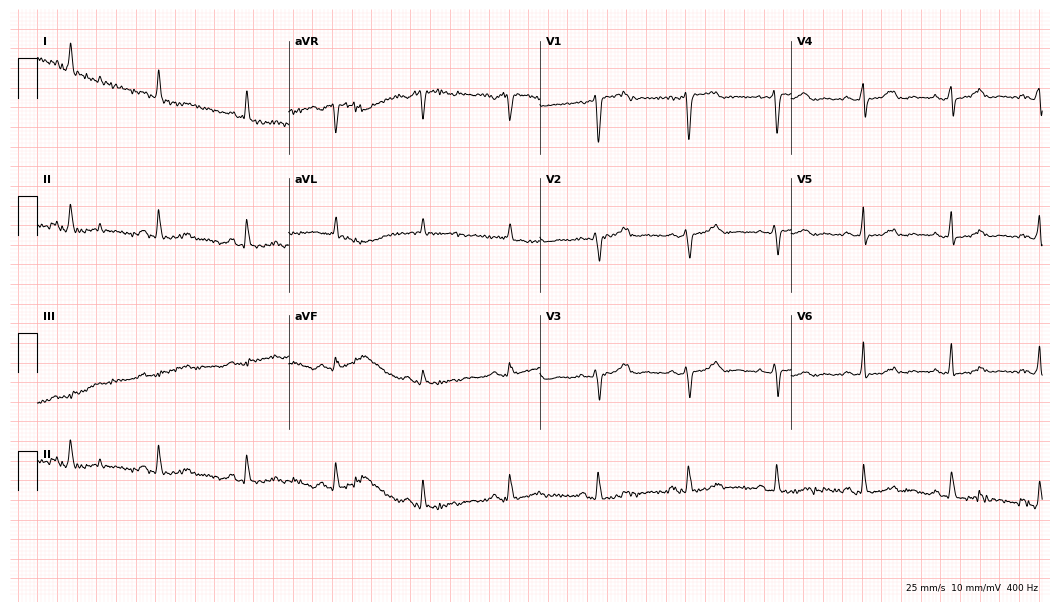
12-lead ECG from a female, 59 years old. Screened for six findings — first-degree AV block, right bundle branch block, left bundle branch block, sinus bradycardia, atrial fibrillation, sinus tachycardia — none is recorded. Findings outside these six are not listed.